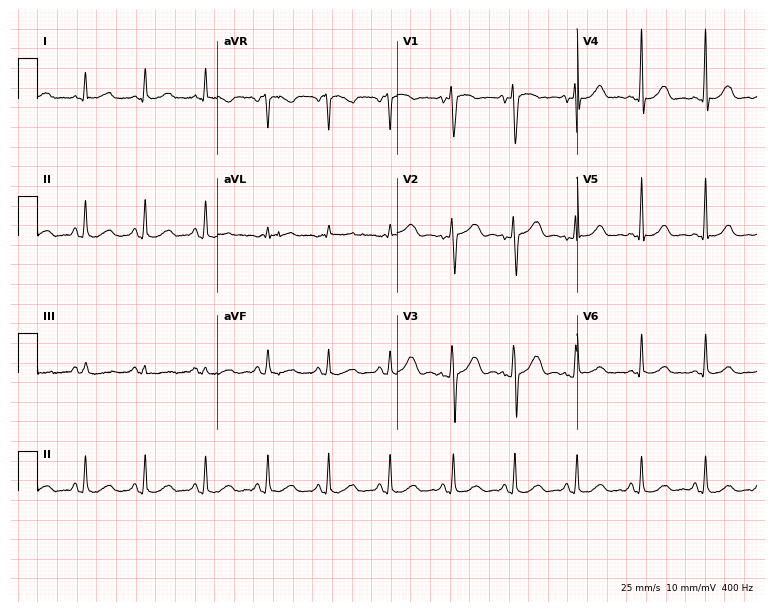
Standard 12-lead ECG recorded from a 59-year-old female (7.3-second recording at 400 Hz). Read as a normal ECG.